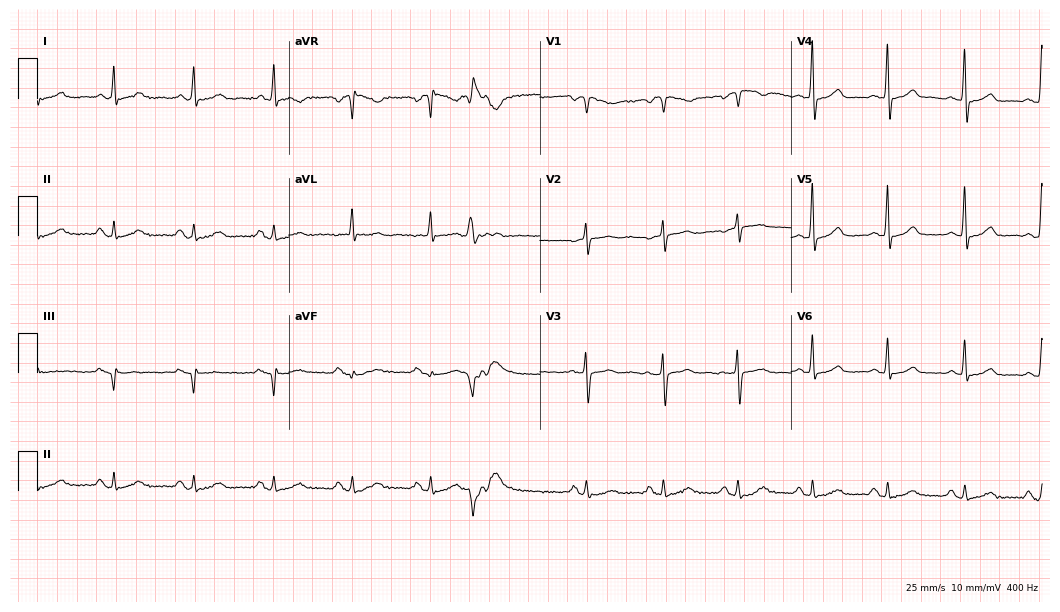
12-lead ECG (10.2-second recording at 400 Hz) from a 73-year-old female. Screened for six findings — first-degree AV block, right bundle branch block, left bundle branch block, sinus bradycardia, atrial fibrillation, sinus tachycardia — none is recorded.